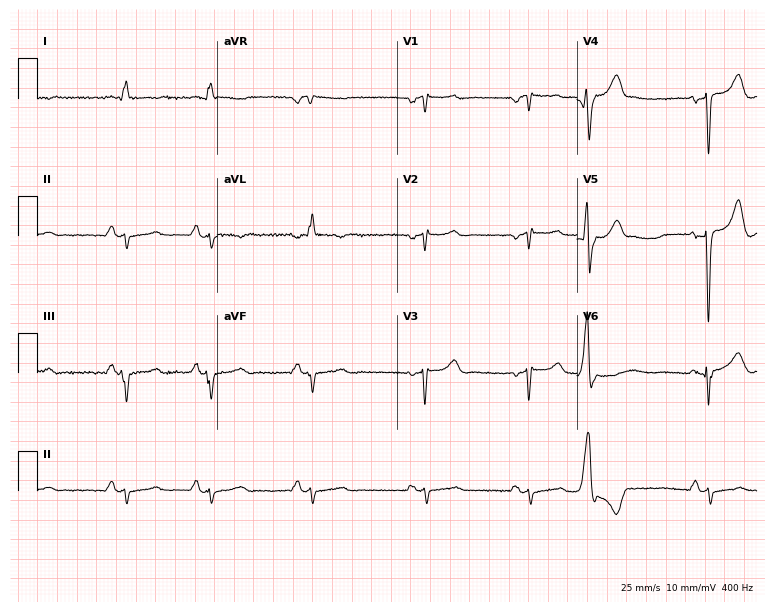
Resting 12-lead electrocardiogram. Patient: a 56-year-old male. None of these six findings is recorded: first-degree AV block, right bundle branch block, left bundle branch block, sinus bradycardia, atrial fibrillation, sinus tachycardia.